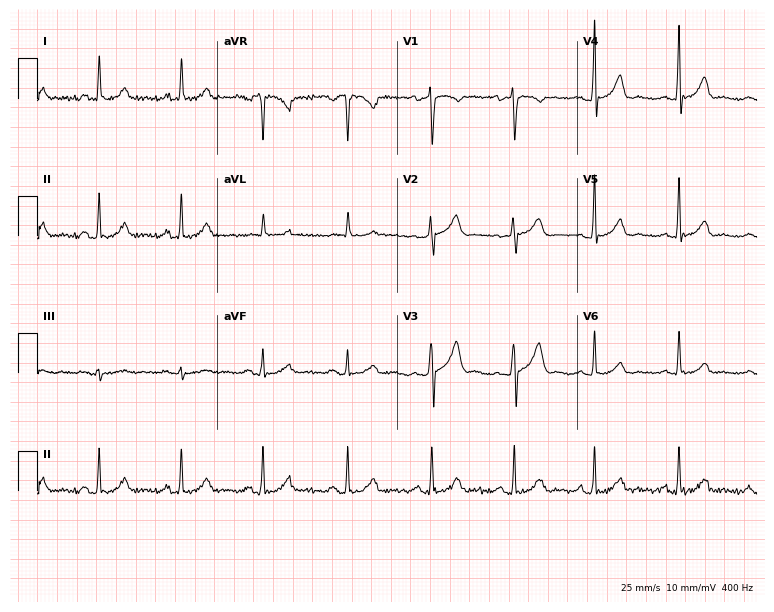
12-lead ECG (7.3-second recording at 400 Hz) from a woman, 35 years old. Labelled as a normal ECG.